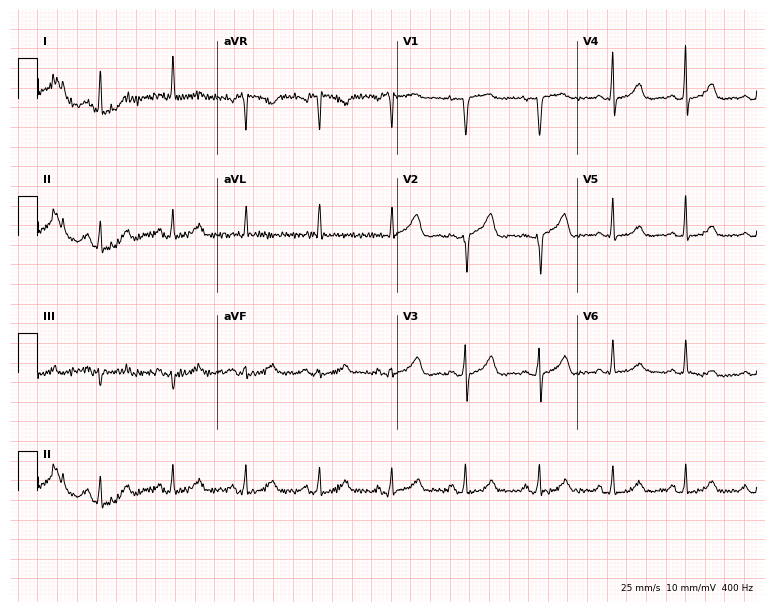
12-lead ECG (7.3-second recording at 400 Hz) from a 51-year-old female. Screened for six findings — first-degree AV block, right bundle branch block, left bundle branch block, sinus bradycardia, atrial fibrillation, sinus tachycardia — none is recorded. Findings outside these six are not listed.